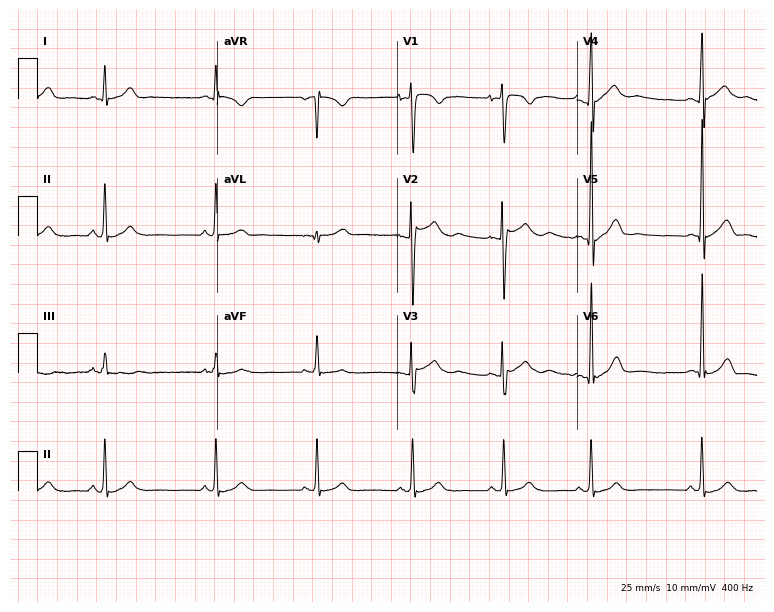
ECG (7.3-second recording at 400 Hz) — a male patient, 17 years old. Screened for six findings — first-degree AV block, right bundle branch block (RBBB), left bundle branch block (LBBB), sinus bradycardia, atrial fibrillation (AF), sinus tachycardia — none is recorded.